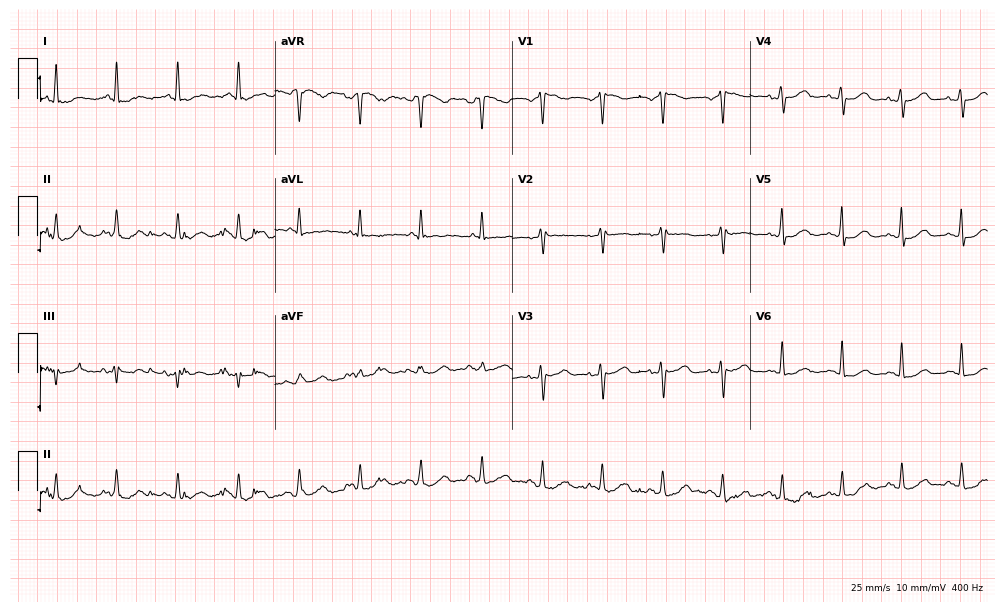
ECG (9.7-second recording at 400 Hz) — a female, 78 years old. Labelled as a normal ECG.